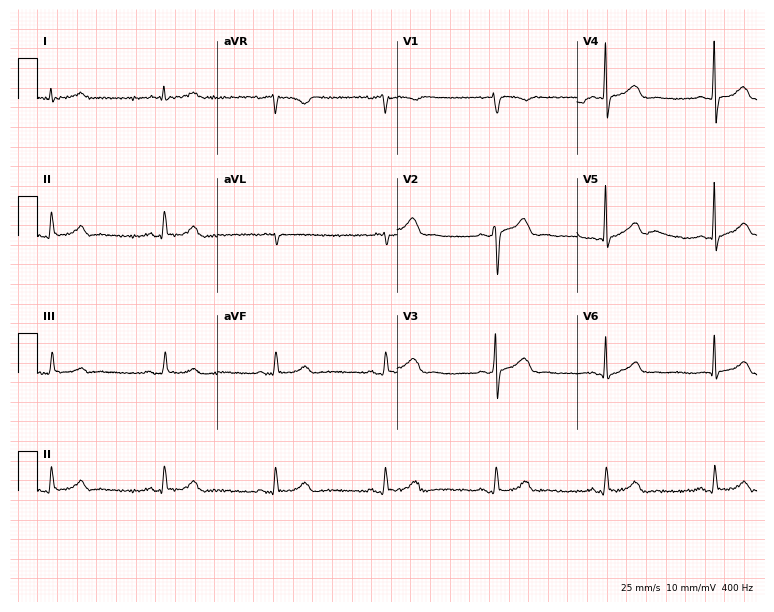
12-lead ECG from a man, 72 years old. Recorded interpretation: within normal limits.